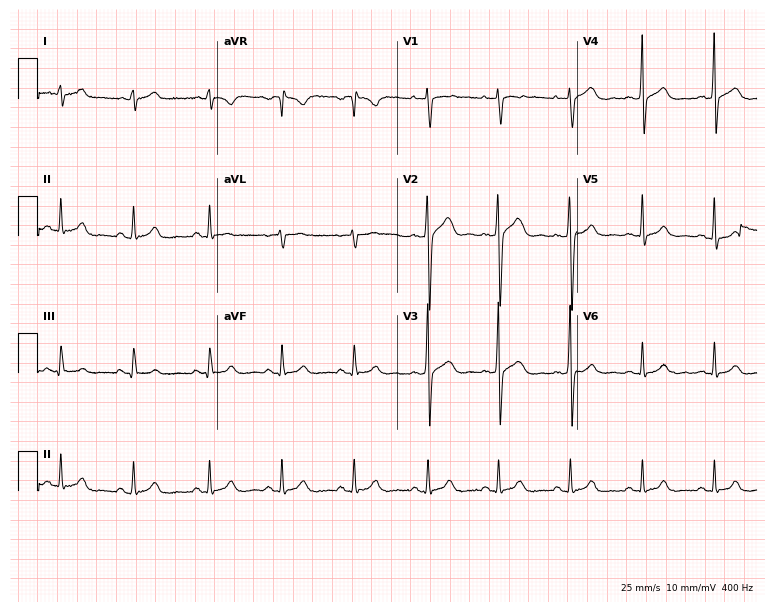
Electrocardiogram, a 23-year-old male patient. Overall reading on record: normal ECG.